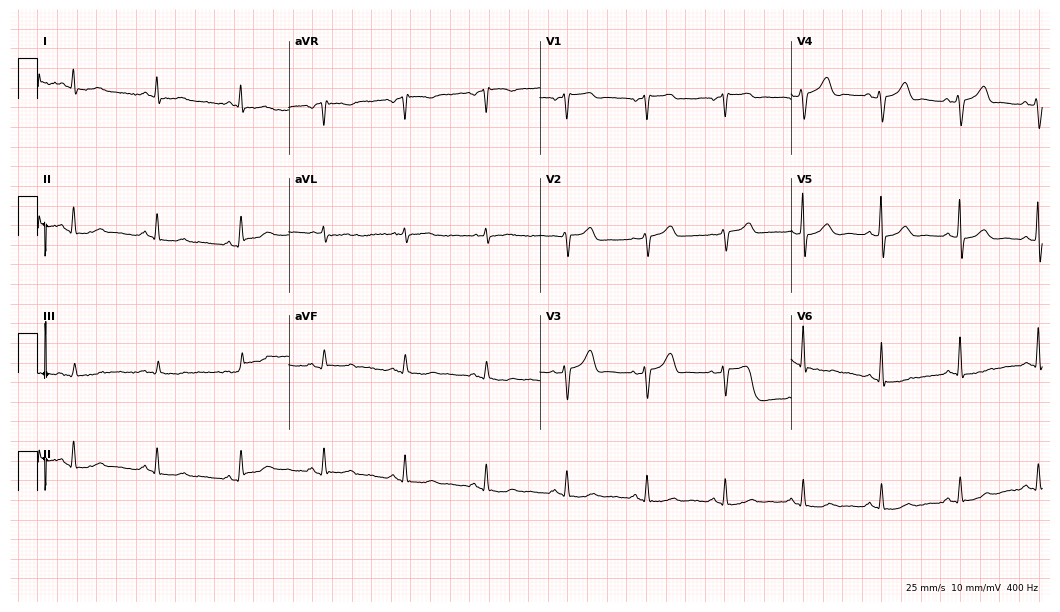
Standard 12-lead ECG recorded from a 66-year-old man (10.2-second recording at 400 Hz). Read as a normal ECG.